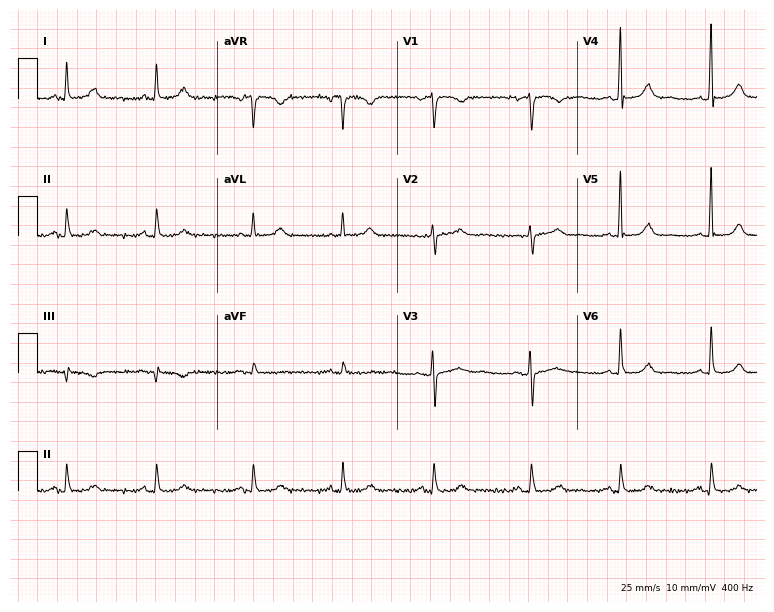
12-lead ECG from a female patient, 69 years old. Labelled as a normal ECG.